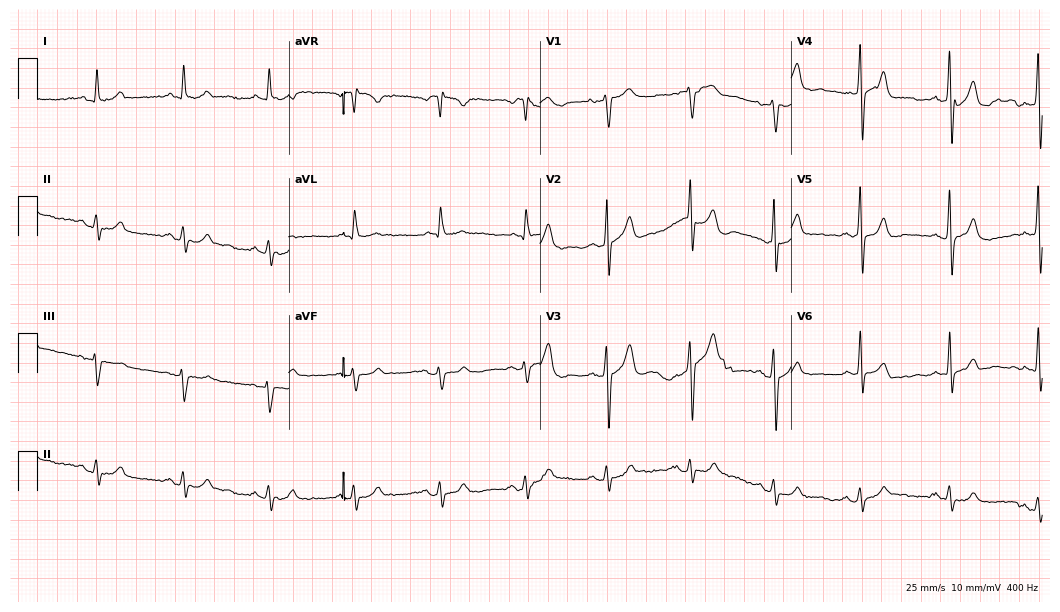
Electrocardiogram (10.2-second recording at 400 Hz), a 68-year-old man. Of the six screened findings (first-degree AV block, right bundle branch block, left bundle branch block, sinus bradycardia, atrial fibrillation, sinus tachycardia), none is recorded.